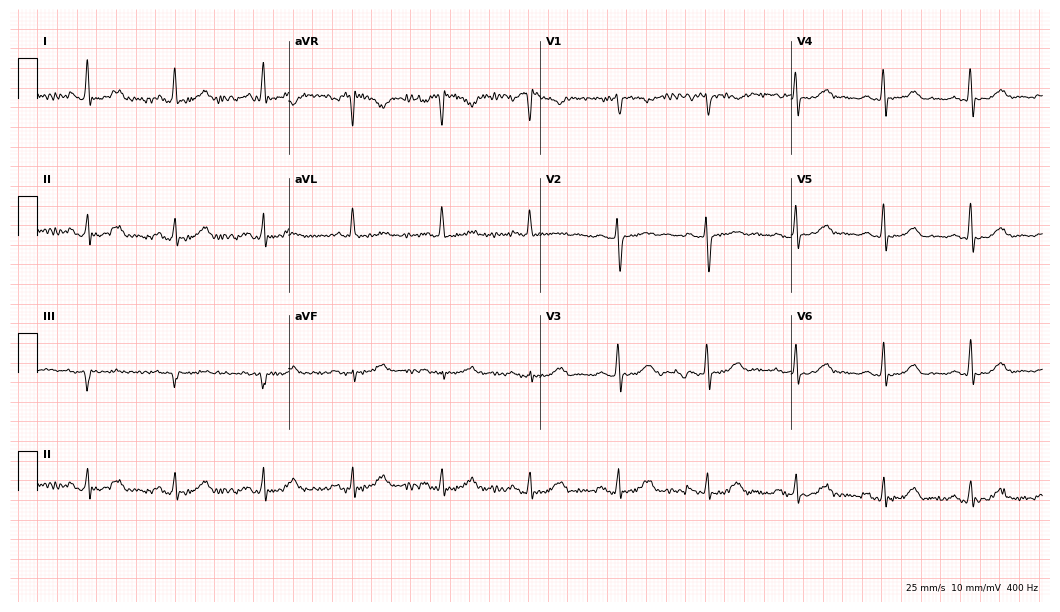
Electrocardiogram, a woman, 72 years old. Of the six screened findings (first-degree AV block, right bundle branch block, left bundle branch block, sinus bradycardia, atrial fibrillation, sinus tachycardia), none is recorded.